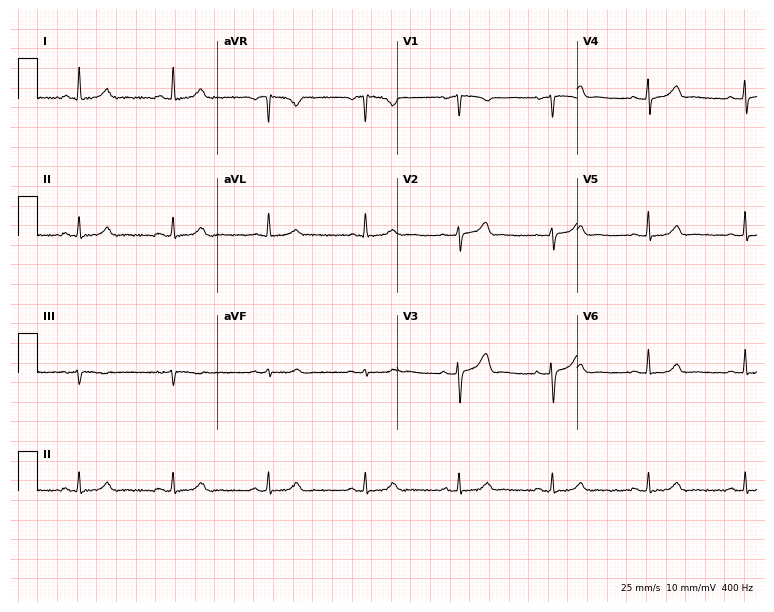
Electrocardiogram (7.3-second recording at 400 Hz), a female, 47 years old. Overall reading on record: normal ECG.